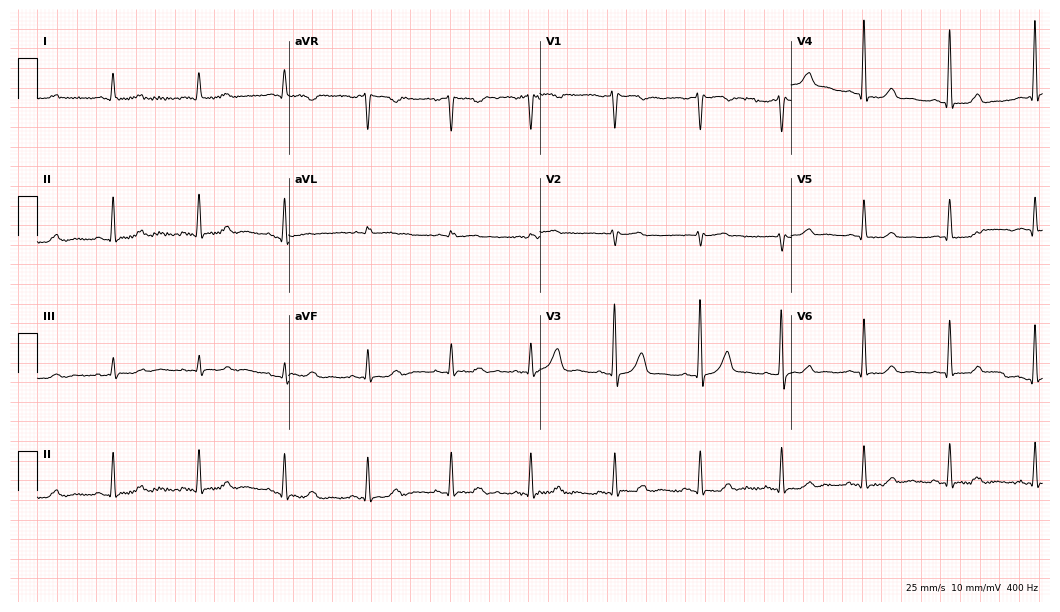
12-lead ECG (10.2-second recording at 400 Hz) from a 54-year-old woman. Screened for six findings — first-degree AV block, right bundle branch block, left bundle branch block, sinus bradycardia, atrial fibrillation, sinus tachycardia — none is recorded.